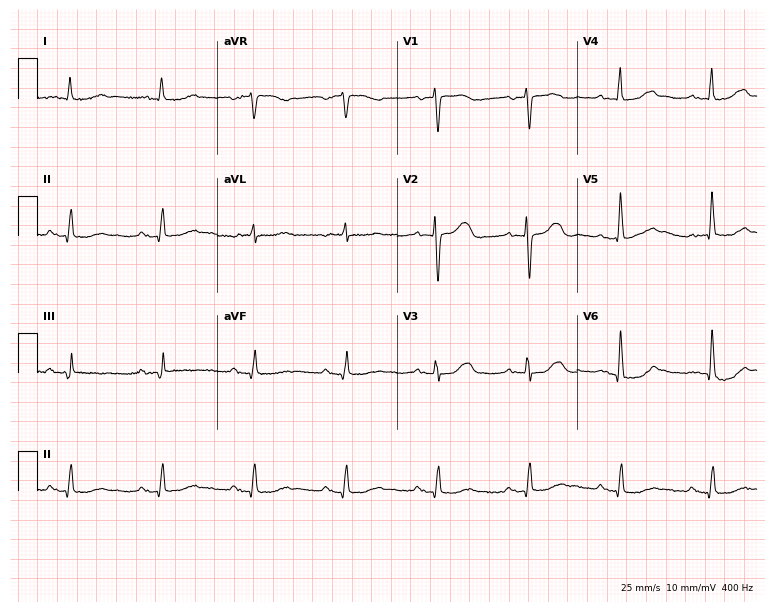
Standard 12-lead ECG recorded from a male, 72 years old (7.3-second recording at 400 Hz). Read as a normal ECG.